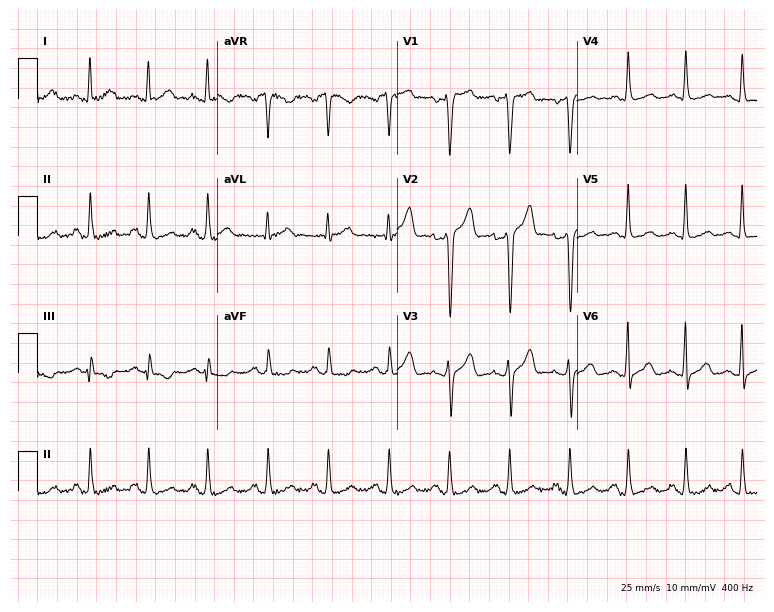
12-lead ECG (7.3-second recording at 400 Hz) from a male patient, 36 years old. Screened for six findings — first-degree AV block, right bundle branch block (RBBB), left bundle branch block (LBBB), sinus bradycardia, atrial fibrillation (AF), sinus tachycardia — none is recorded.